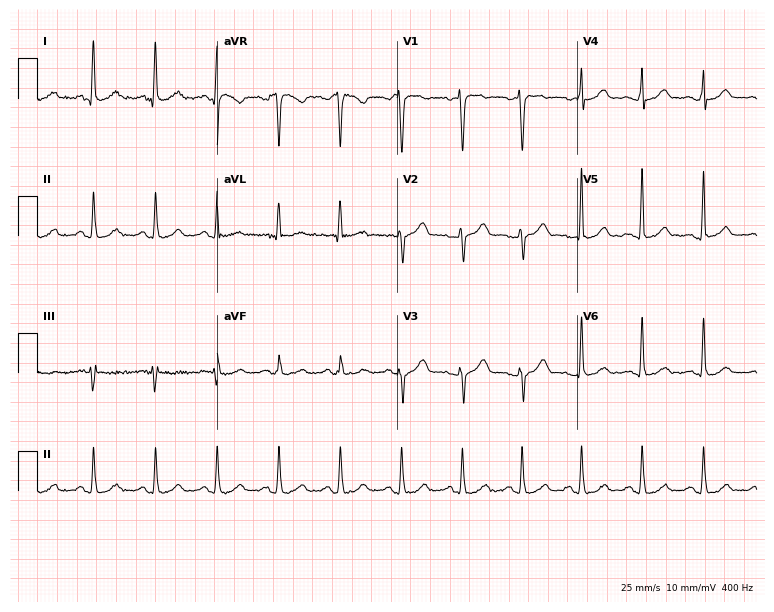
Resting 12-lead electrocardiogram. Patient: a female, 35 years old. Read as a normal ECG.